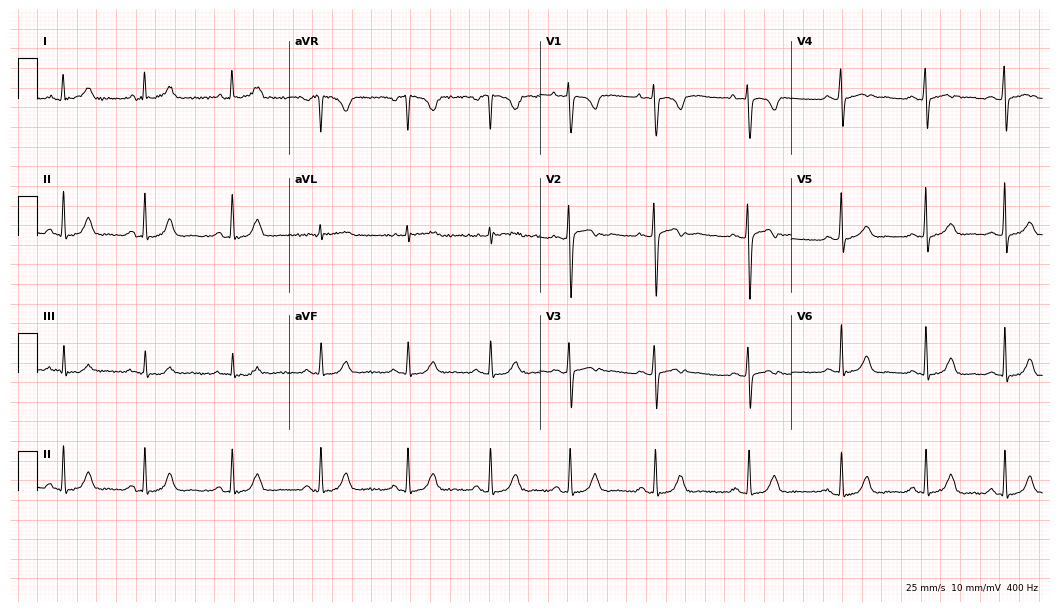
12-lead ECG from a woman, 32 years old. Labelled as a normal ECG.